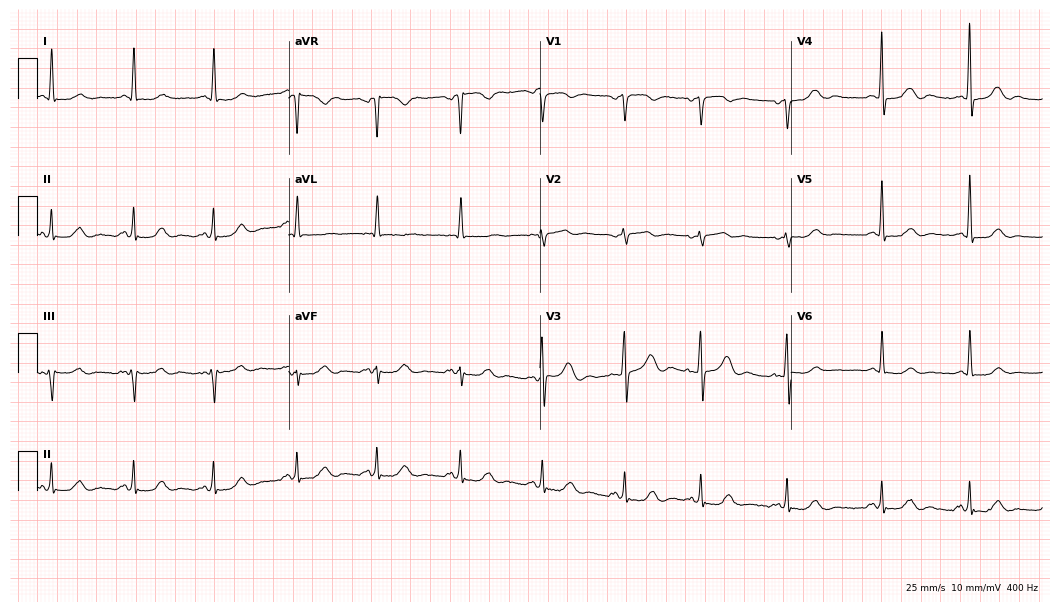
Standard 12-lead ECG recorded from a 76-year-old female (10.2-second recording at 400 Hz). None of these six findings is recorded: first-degree AV block, right bundle branch block (RBBB), left bundle branch block (LBBB), sinus bradycardia, atrial fibrillation (AF), sinus tachycardia.